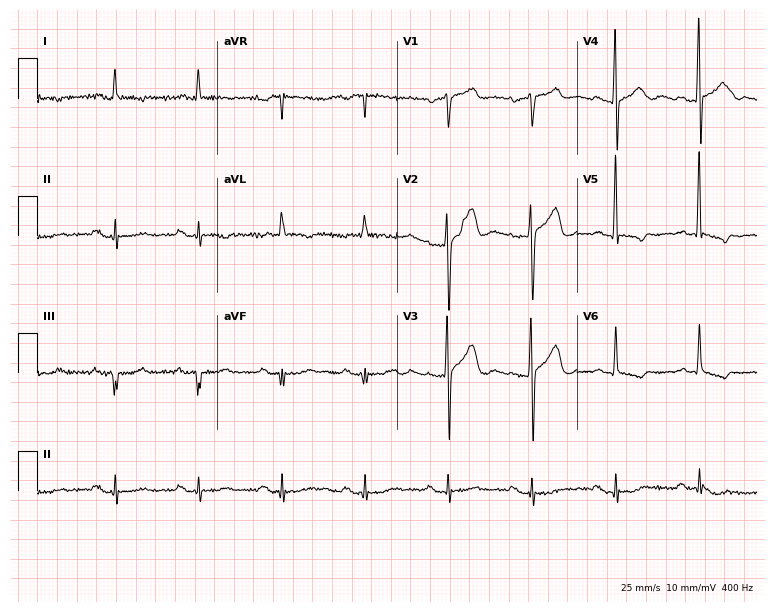
Electrocardiogram (7.3-second recording at 400 Hz), an 81-year-old man. Of the six screened findings (first-degree AV block, right bundle branch block, left bundle branch block, sinus bradycardia, atrial fibrillation, sinus tachycardia), none is recorded. Other findings, if any, are not listed.